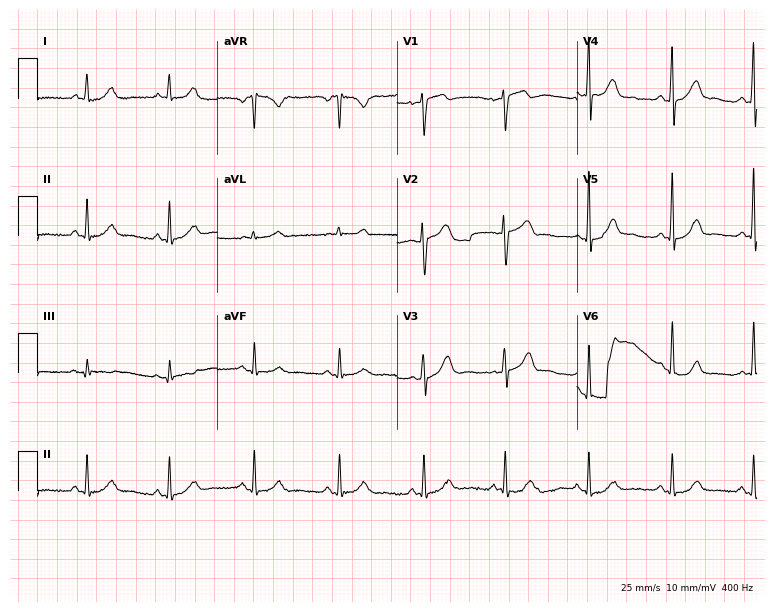
ECG — a 47-year-old woman. Labelled as a normal ECG.